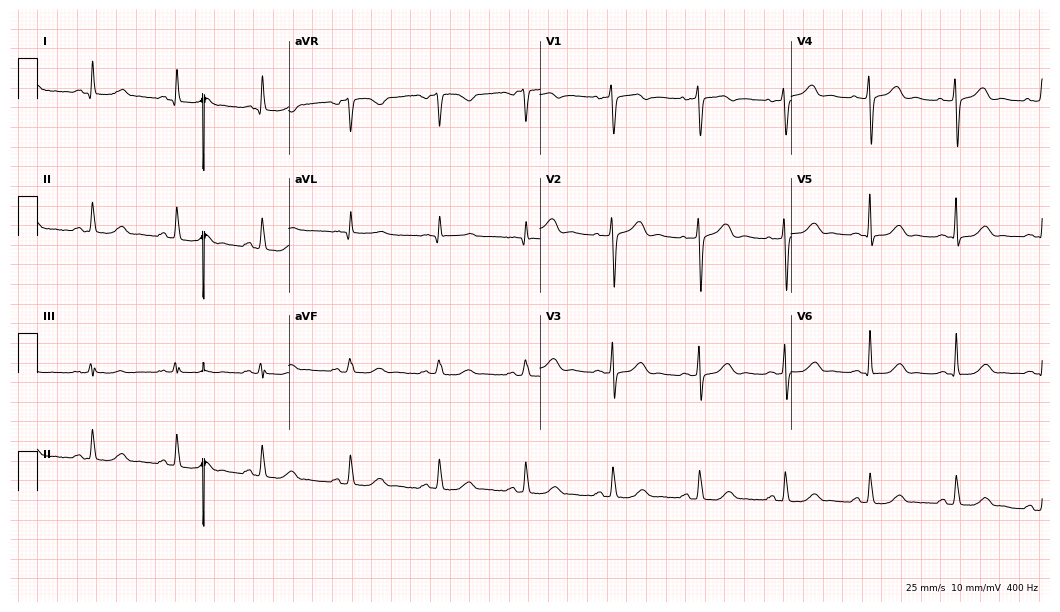
Standard 12-lead ECG recorded from a 47-year-old female (10.2-second recording at 400 Hz). Read as a normal ECG.